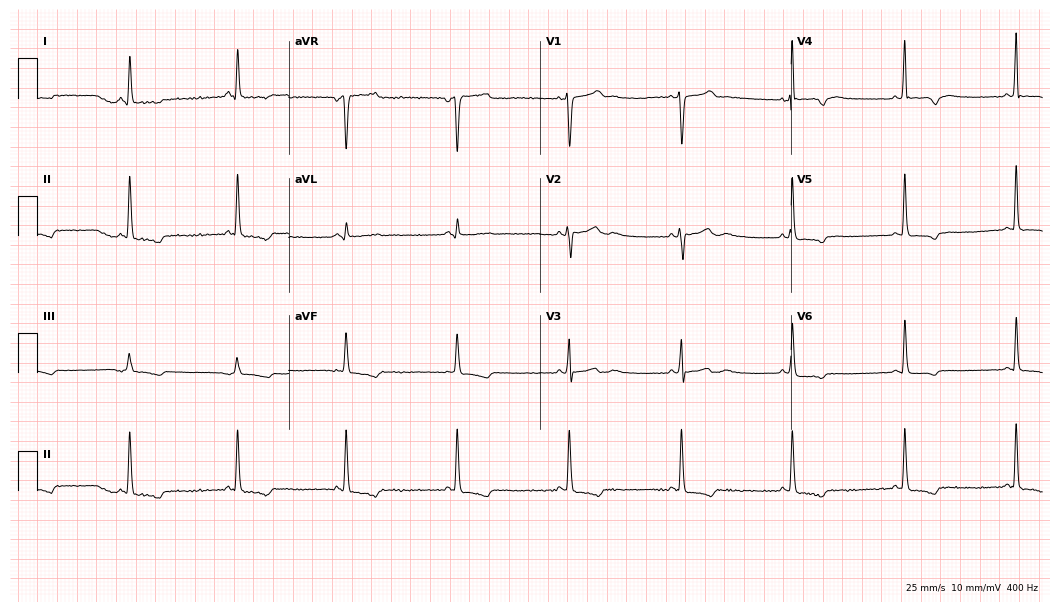
Resting 12-lead electrocardiogram (10.2-second recording at 400 Hz). Patient: a 48-year-old female. Read as a normal ECG.